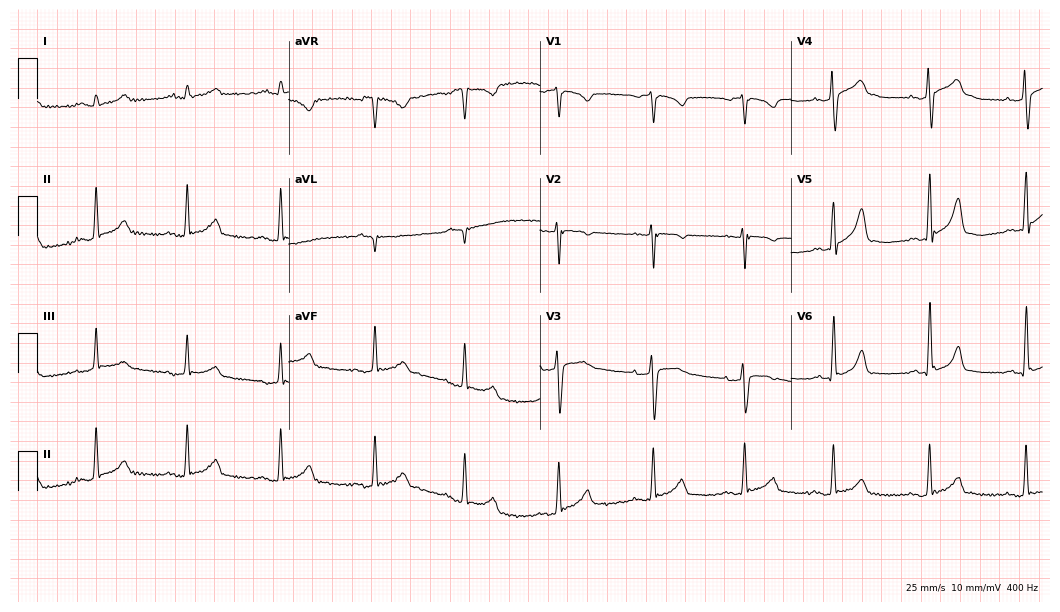
12-lead ECG from a male, 35 years old. Recorded interpretation: within normal limits.